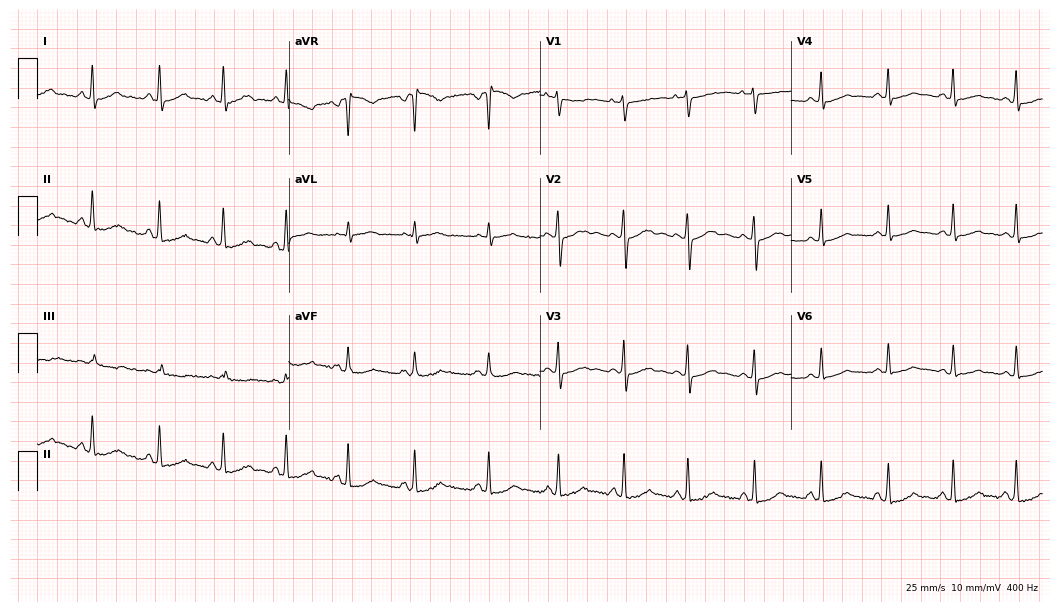
12-lead ECG from a 40-year-old female (10.2-second recording at 400 Hz). No first-degree AV block, right bundle branch block, left bundle branch block, sinus bradycardia, atrial fibrillation or sinus tachycardia recorded for this tracing.